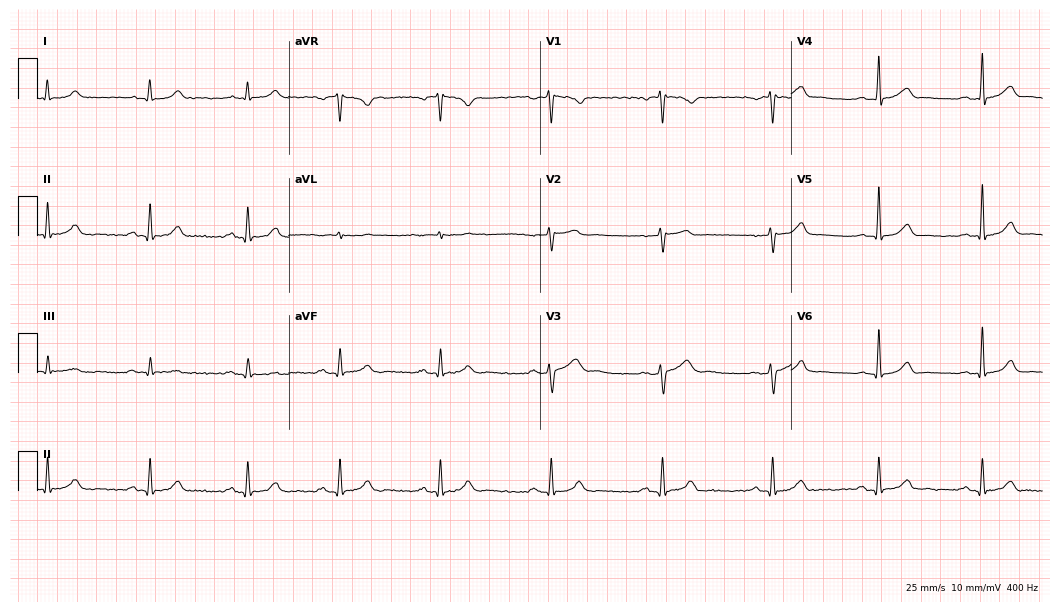
12-lead ECG from a man, 34 years old (10.2-second recording at 400 Hz). No first-degree AV block, right bundle branch block, left bundle branch block, sinus bradycardia, atrial fibrillation or sinus tachycardia recorded for this tracing.